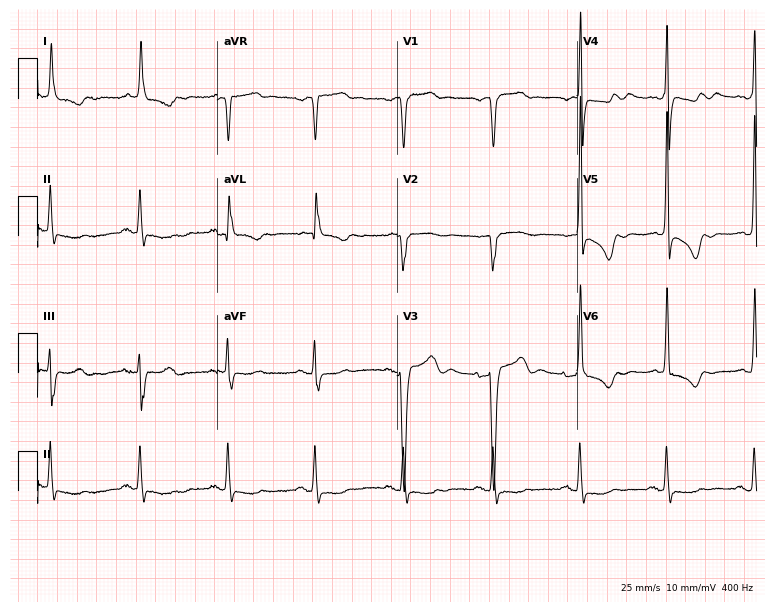
12-lead ECG from an 80-year-old woman (7.3-second recording at 400 Hz). No first-degree AV block, right bundle branch block, left bundle branch block, sinus bradycardia, atrial fibrillation or sinus tachycardia recorded for this tracing.